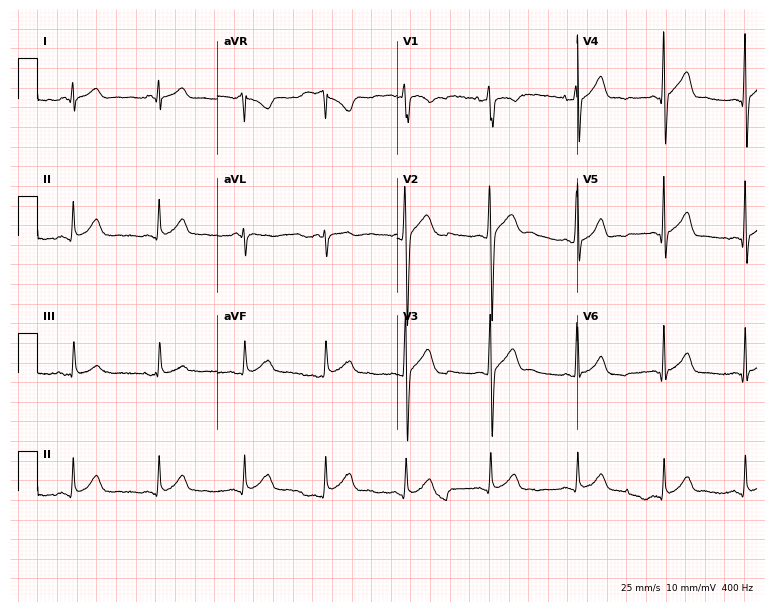
ECG — a 20-year-old male. Screened for six findings — first-degree AV block, right bundle branch block (RBBB), left bundle branch block (LBBB), sinus bradycardia, atrial fibrillation (AF), sinus tachycardia — none is recorded. Findings outside these six are not listed.